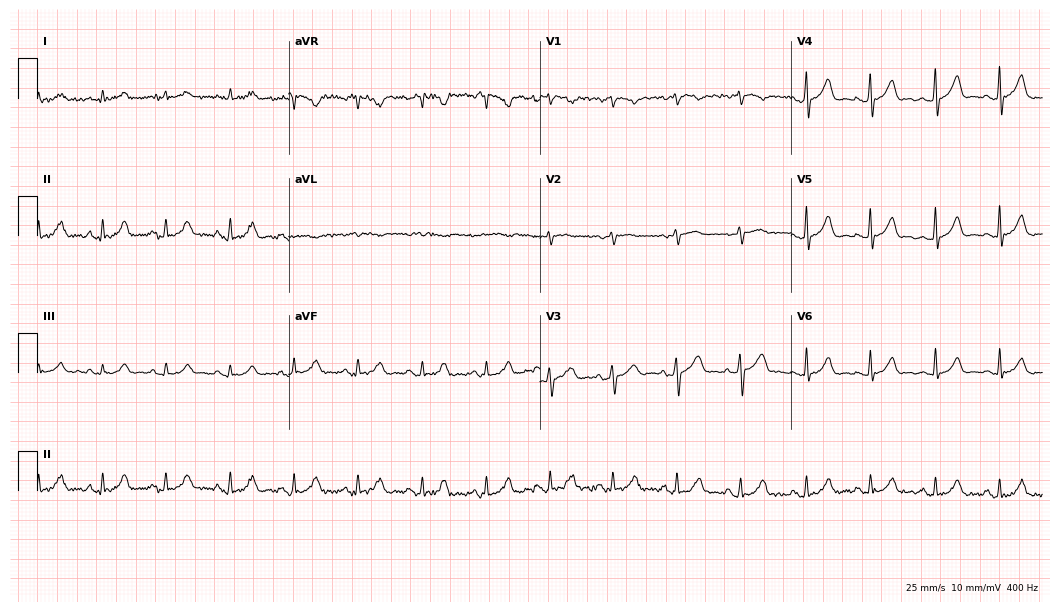
ECG (10.2-second recording at 400 Hz) — a 79-year-old man. Labelled as a normal ECG.